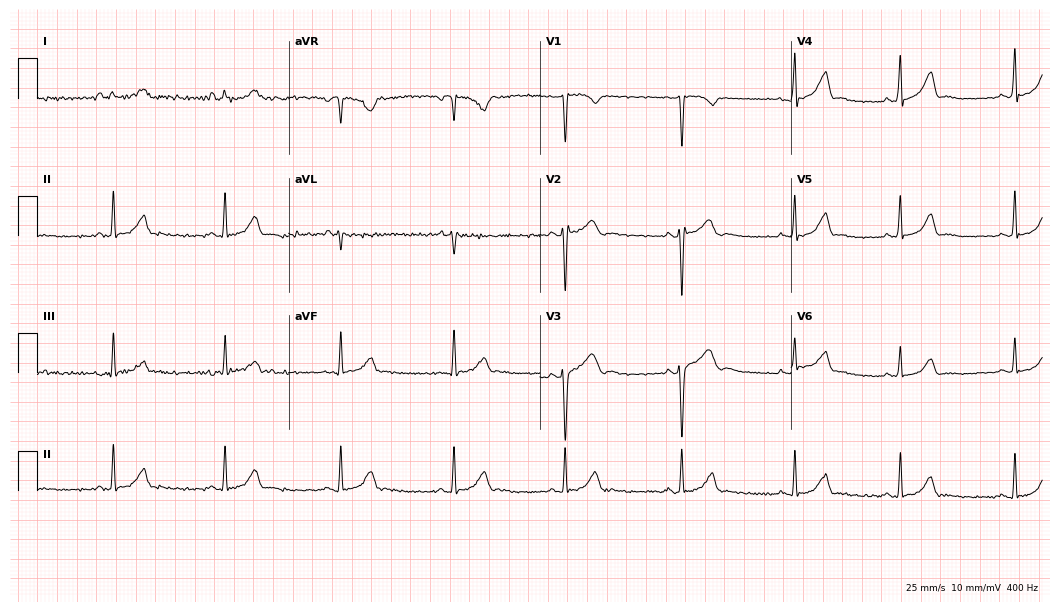
12-lead ECG (10.2-second recording at 400 Hz) from a 25-year-old female patient. Labelled as a normal ECG.